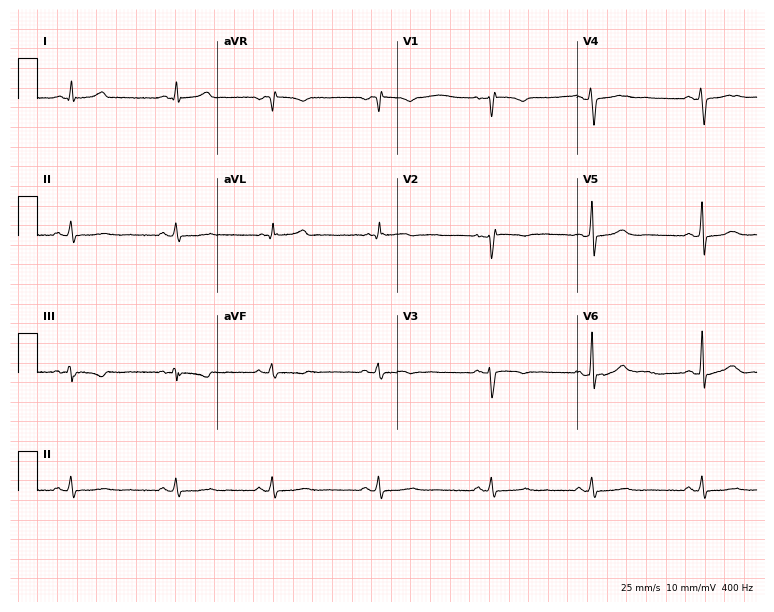
12-lead ECG from a 45-year-old woman. No first-degree AV block, right bundle branch block, left bundle branch block, sinus bradycardia, atrial fibrillation or sinus tachycardia recorded for this tracing. Findings outside these six are not listed.